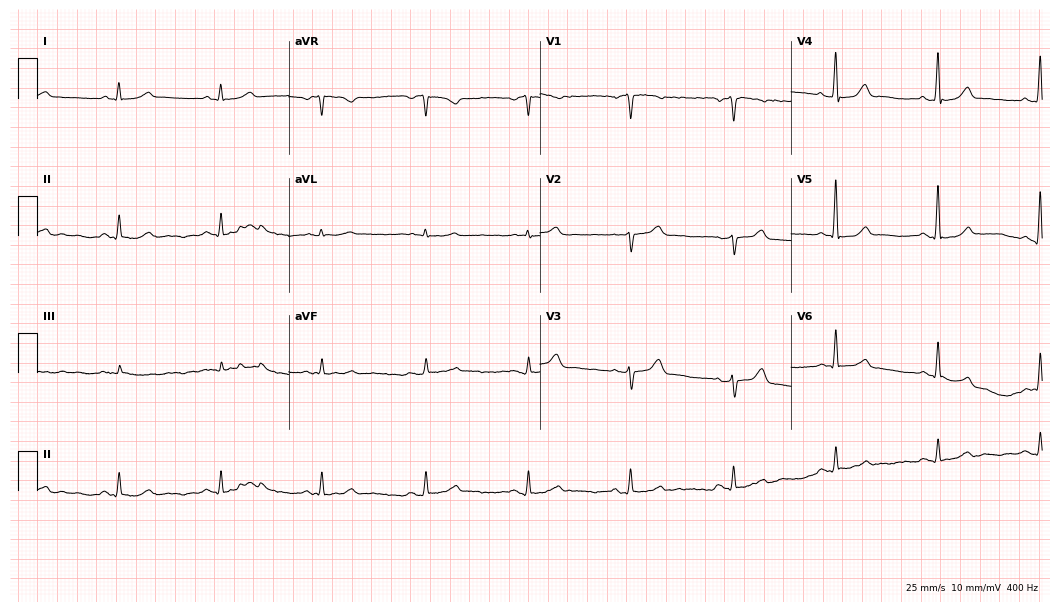
Electrocardiogram (10.2-second recording at 400 Hz), a 60-year-old male patient. Overall reading on record: normal ECG.